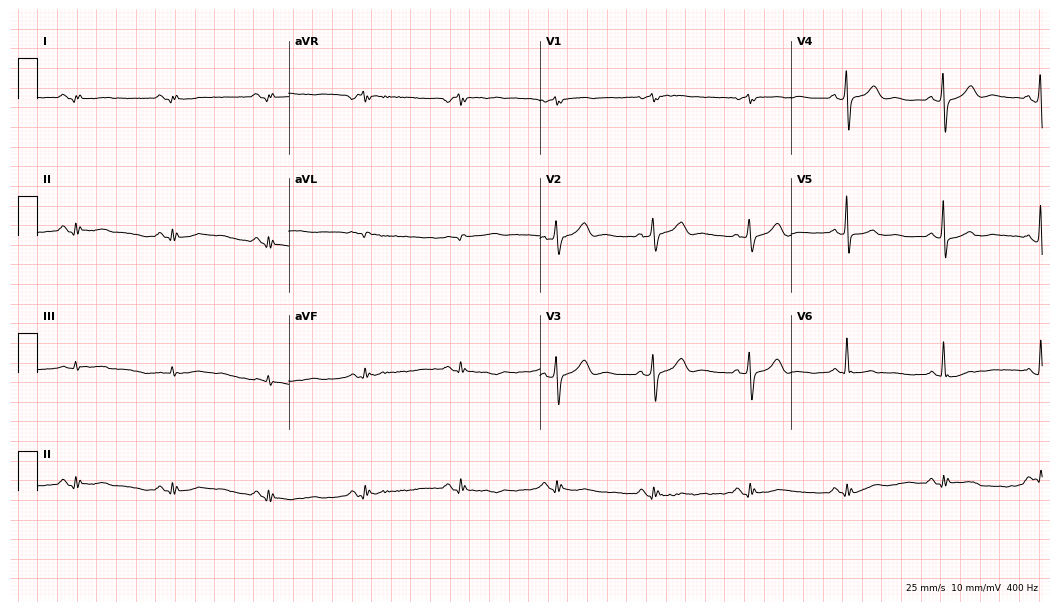
12-lead ECG from a male, 86 years old (10.2-second recording at 400 Hz). No first-degree AV block, right bundle branch block, left bundle branch block, sinus bradycardia, atrial fibrillation or sinus tachycardia recorded for this tracing.